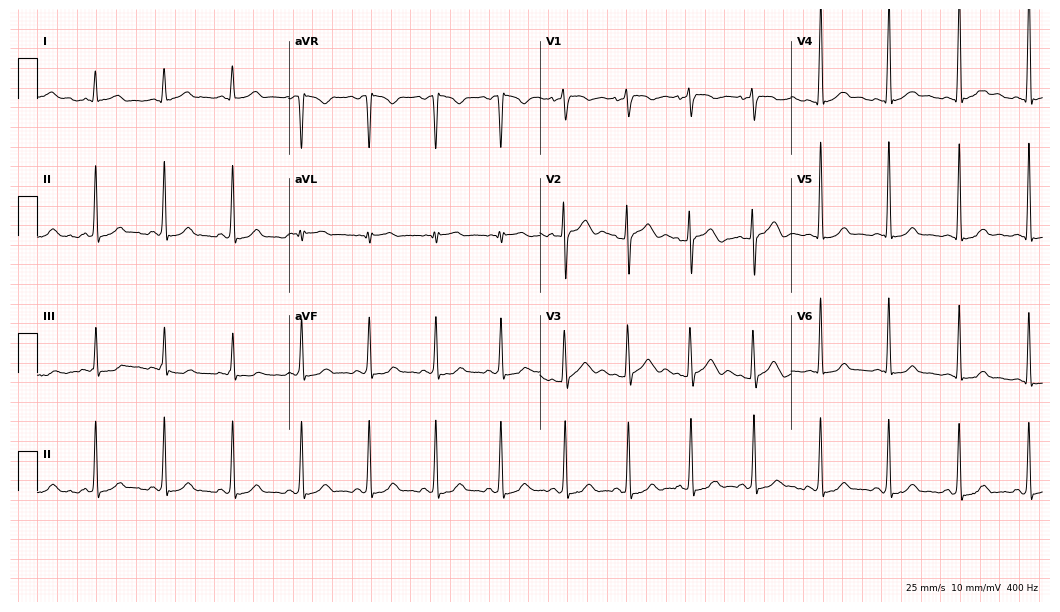
ECG (10.2-second recording at 400 Hz) — a 21-year-old male patient. Labelled as a normal ECG.